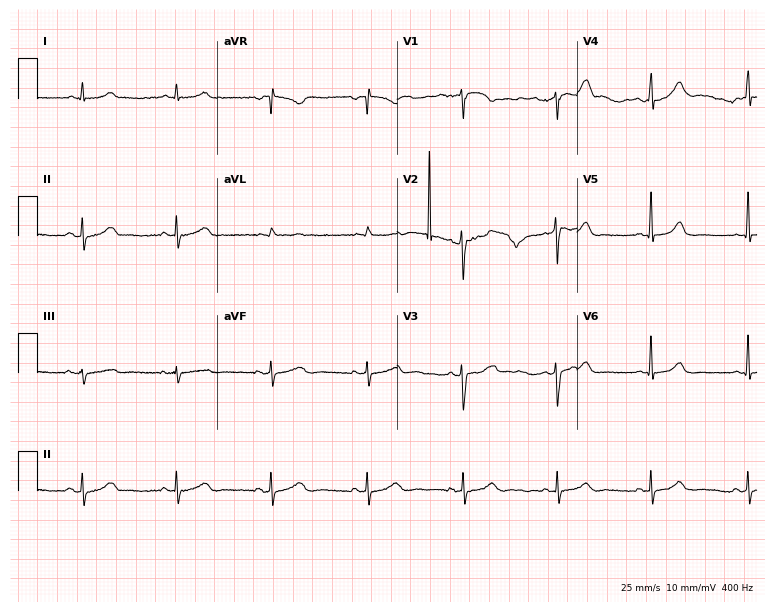
Standard 12-lead ECG recorded from a female, 37 years old (7.3-second recording at 400 Hz). None of these six findings is recorded: first-degree AV block, right bundle branch block (RBBB), left bundle branch block (LBBB), sinus bradycardia, atrial fibrillation (AF), sinus tachycardia.